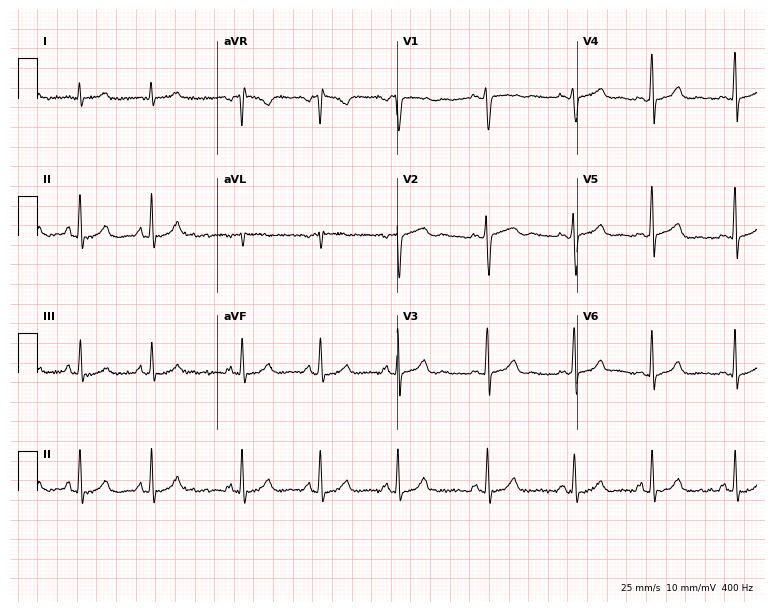
Electrocardiogram, a 38-year-old female patient. Overall reading on record: normal ECG.